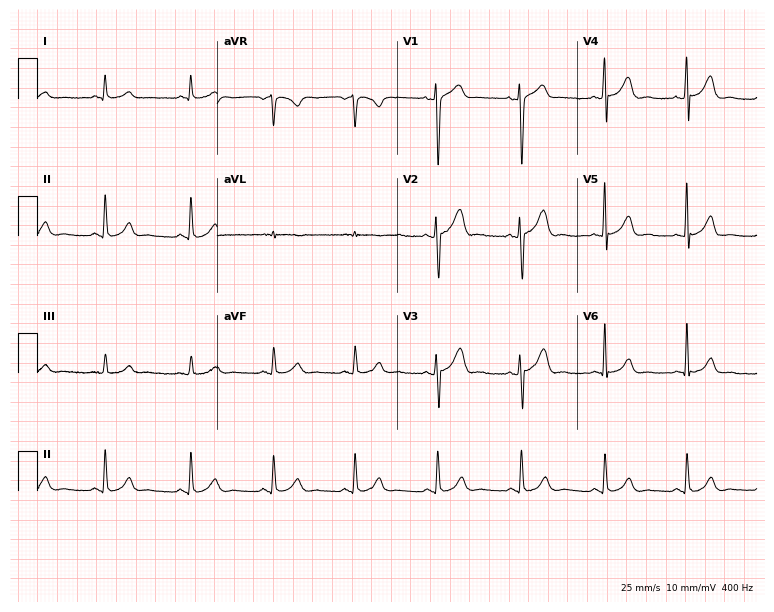
Electrocardiogram, a male patient, 51 years old. Of the six screened findings (first-degree AV block, right bundle branch block, left bundle branch block, sinus bradycardia, atrial fibrillation, sinus tachycardia), none is recorded.